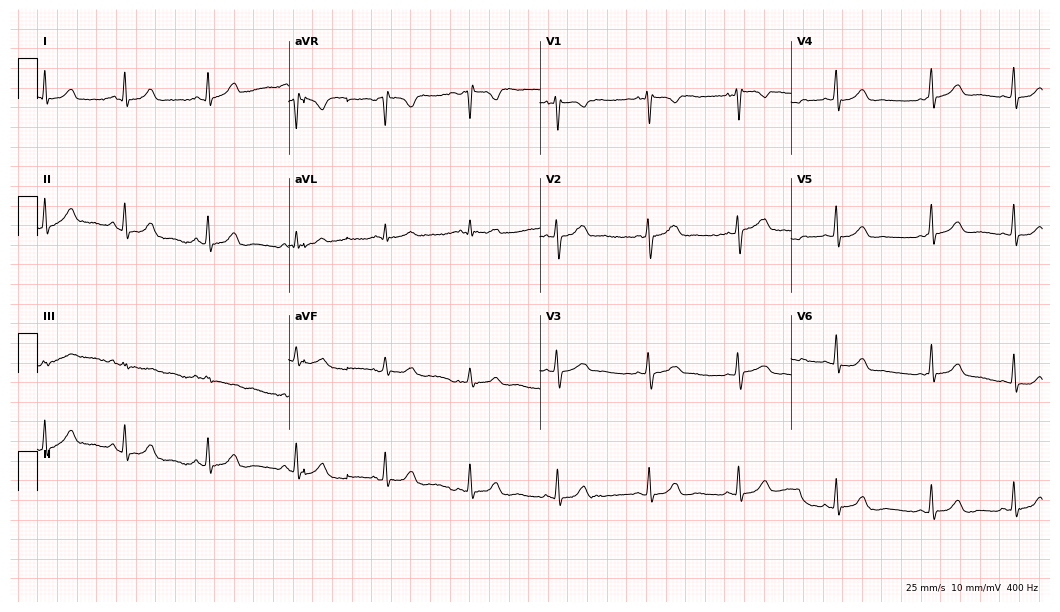
Electrocardiogram, a female patient, 23 years old. Of the six screened findings (first-degree AV block, right bundle branch block, left bundle branch block, sinus bradycardia, atrial fibrillation, sinus tachycardia), none is recorded. Other findings, if any, are not listed.